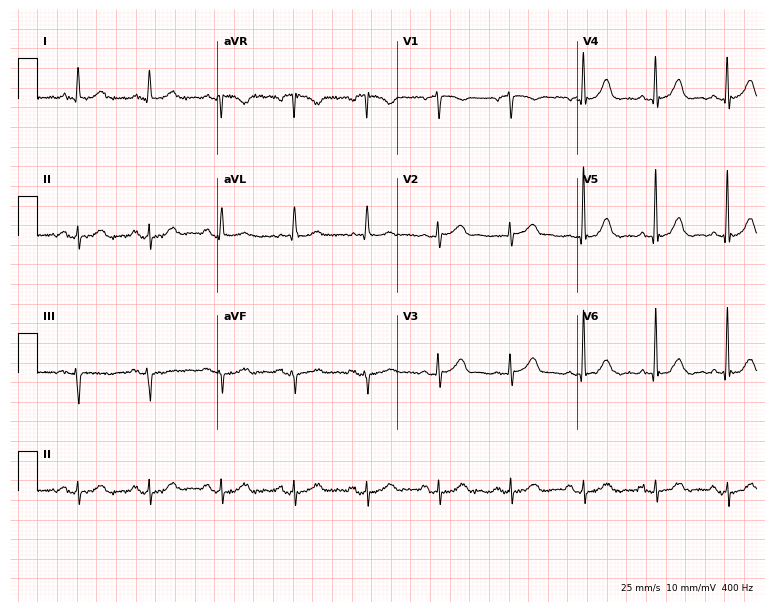
Electrocardiogram (7.3-second recording at 400 Hz), a woman, 74 years old. Of the six screened findings (first-degree AV block, right bundle branch block (RBBB), left bundle branch block (LBBB), sinus bradycardia, atrial fibrillation (AF), sinus tachycardia), none is recorded.